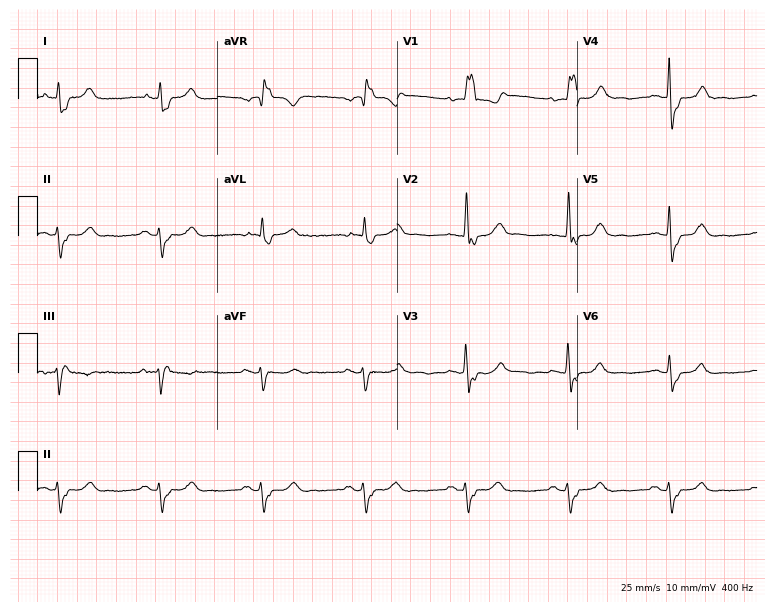
12-lead ECG from a male, 74 years old. Shows right bundle branch block (RBBB).